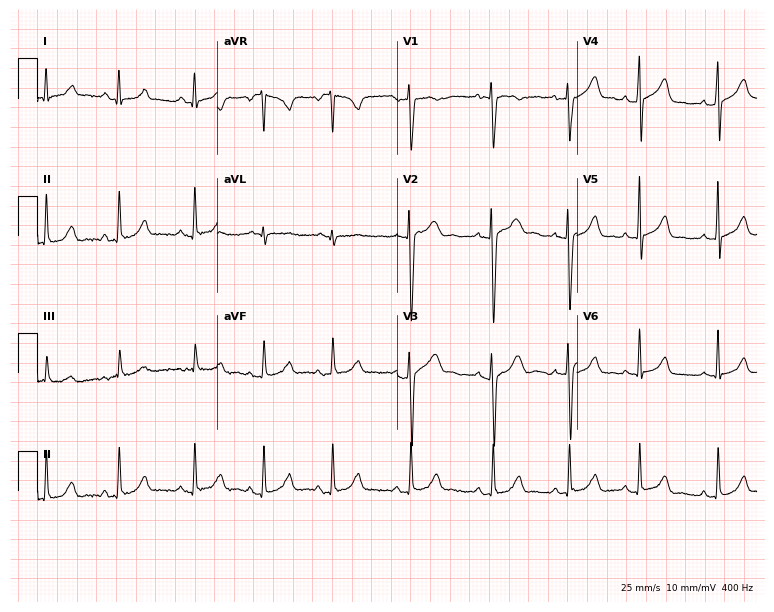
ECG (7.3-second recording at 400 Hz) — a female, 19 years old. Labelled as a normal ECG.